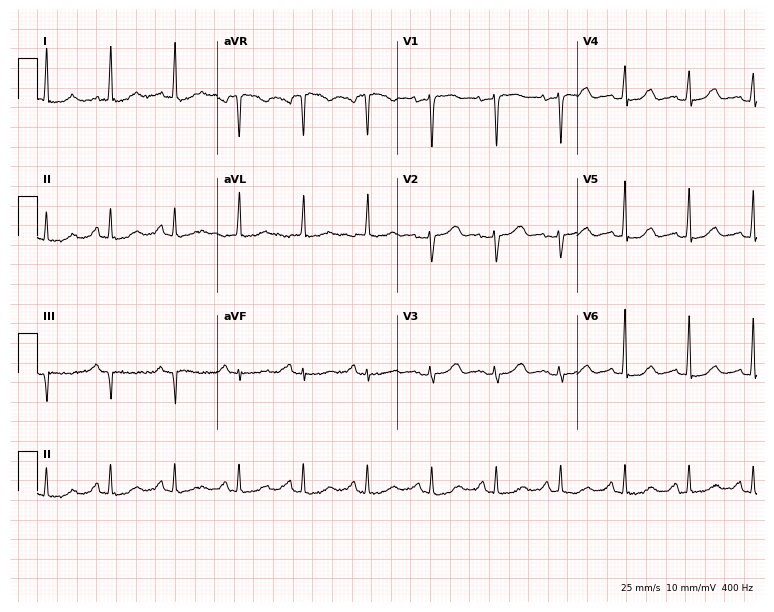
ECG — a female, 78 years old. Screened for six findings — first-degree AV block, right bundle branch block, left bundle branch block, sinus bradycardia, atrial fibrillation, sinus tachycardia — none is recorded.